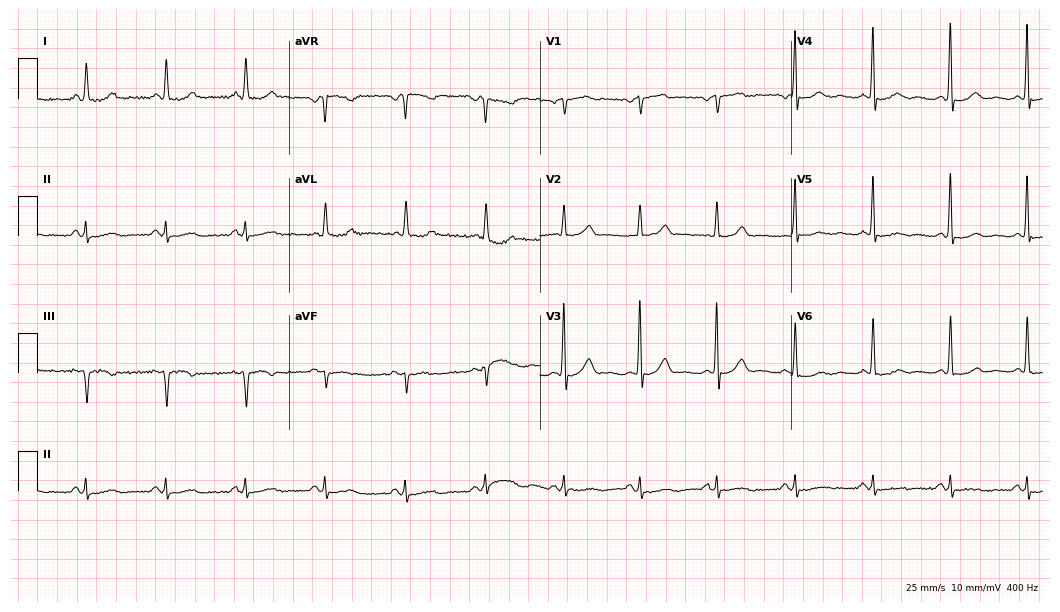
12-lead ECG (10.2-second recording at 400 Hz) from a 61-year-old female patient. Screened for six findings — first-degree AV block, right bundle branch block, left bundle branch block, sinus bradycardia, atrial fibrillation, sinus tachycardia — none is recorded.